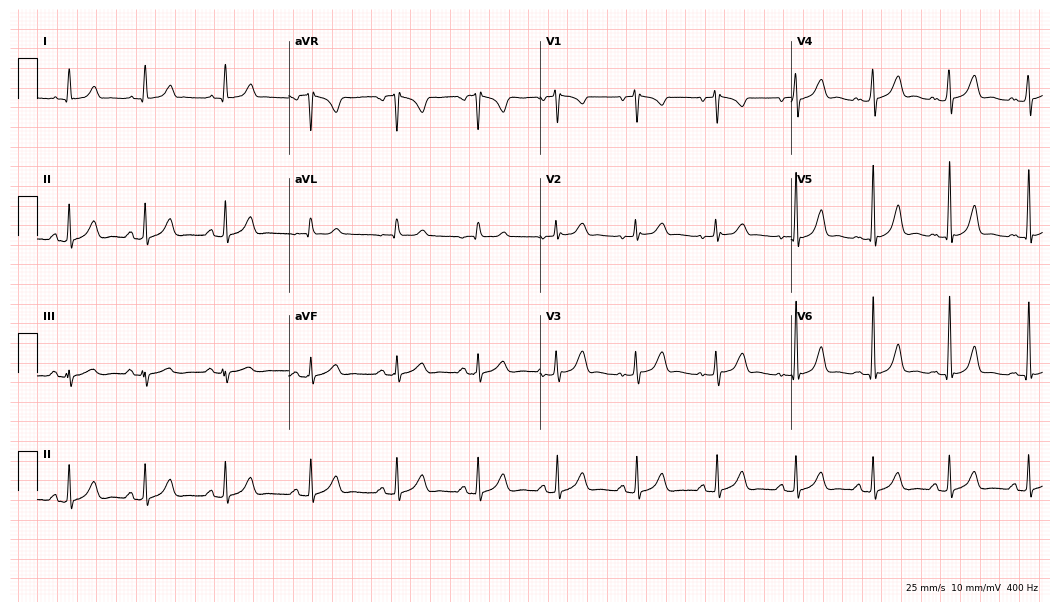
Electrocardiogram (10.2-second recording at 400 Hz), a 33-year-old woman. Of the six screened findings (first-degree AV block, right bundle branch block, left bundle branch block, sinus bradycardia, atrial fibrillation, sinus tachycardia), none is recorded. Only these six findings were labelled.